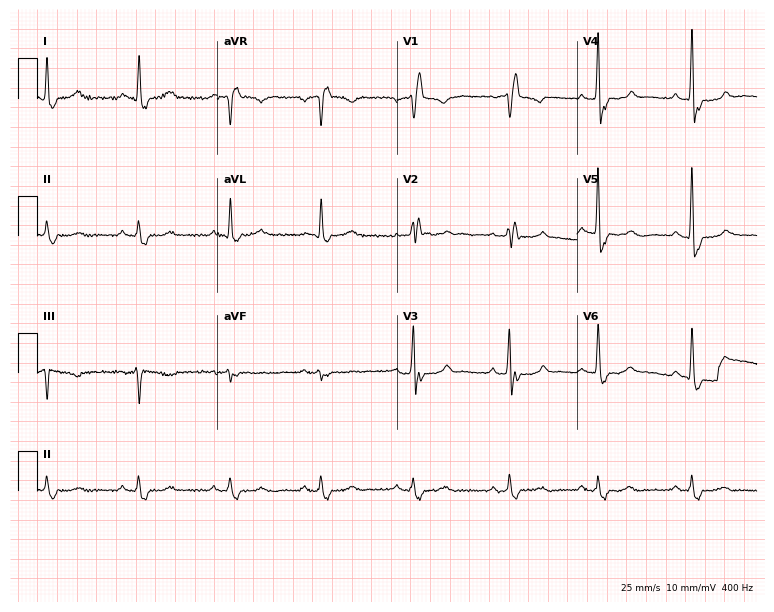
Electrocardiogram, a man, 73 years old. Interpretation includes right bundle branch block (RBBB).